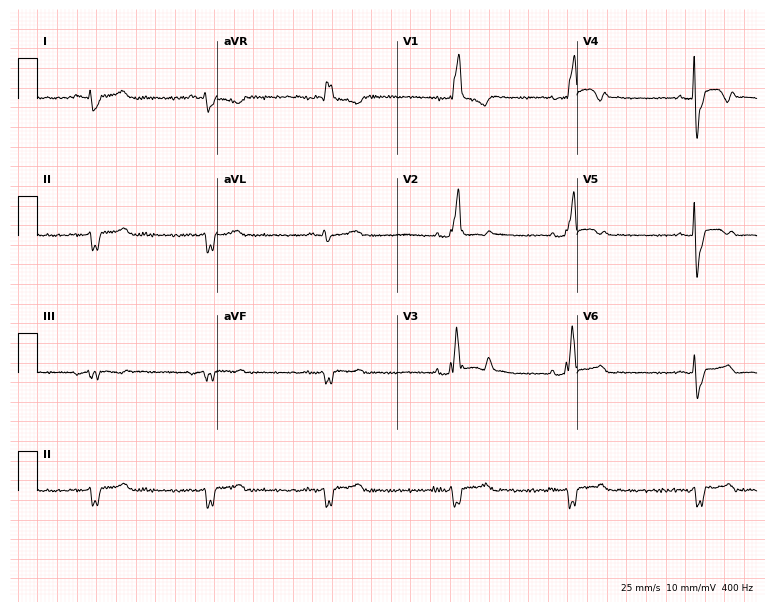
ECG (7.3-second recording at 400 Hz) — a male patient, 56 years old. Screened for six findings — first-degree AV block, right bundle branch block (RBBB), left bundle branch block (LBBB), sinus bradycardia, atrial fibrillation (AF), sinus tachycardia — none is recorded.